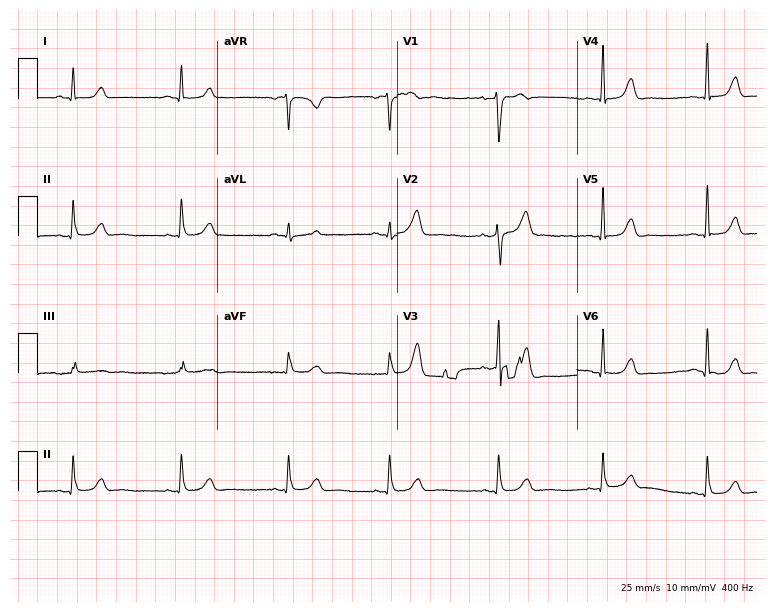
Standard 12-lead ECG recorded from a female, 24 years old (7.3-second recording at 400 Hz). None of these six findings is recorded: first-degree AV block, right bundle branch block, left bundle branch block, sinus bradycardia, atrial fibrillation, sinus tachycardia. Only these six findings were labelled.